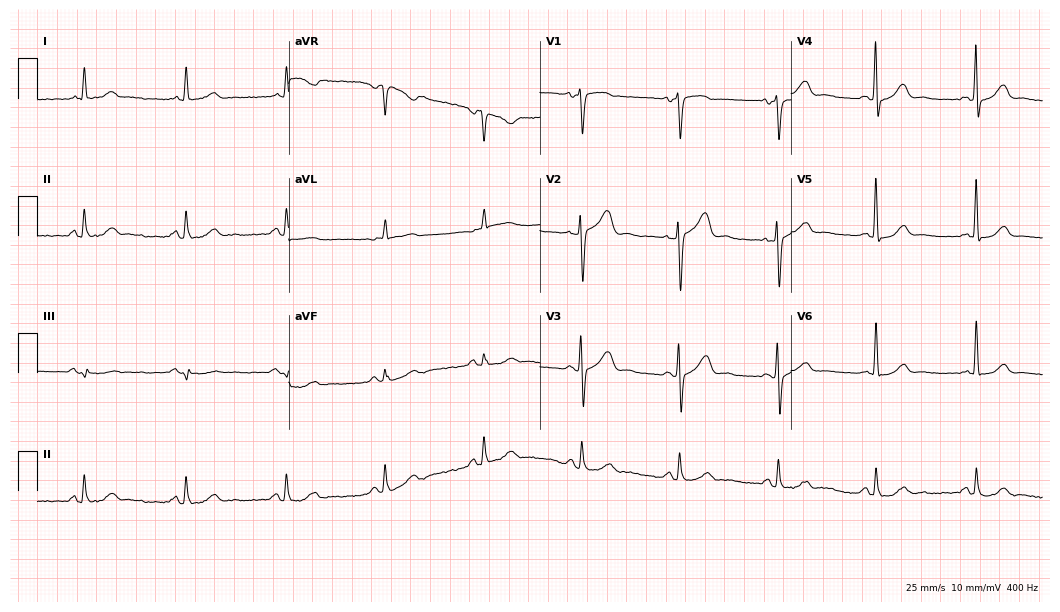
12-lead ECG from a 67-year-old male patient. Screened for six findings — first-degree AV block, right bundle branch block, left bundle branch block, sinus bradycardia, atrial fibrillation, sinus tachycardia — none is recorded.